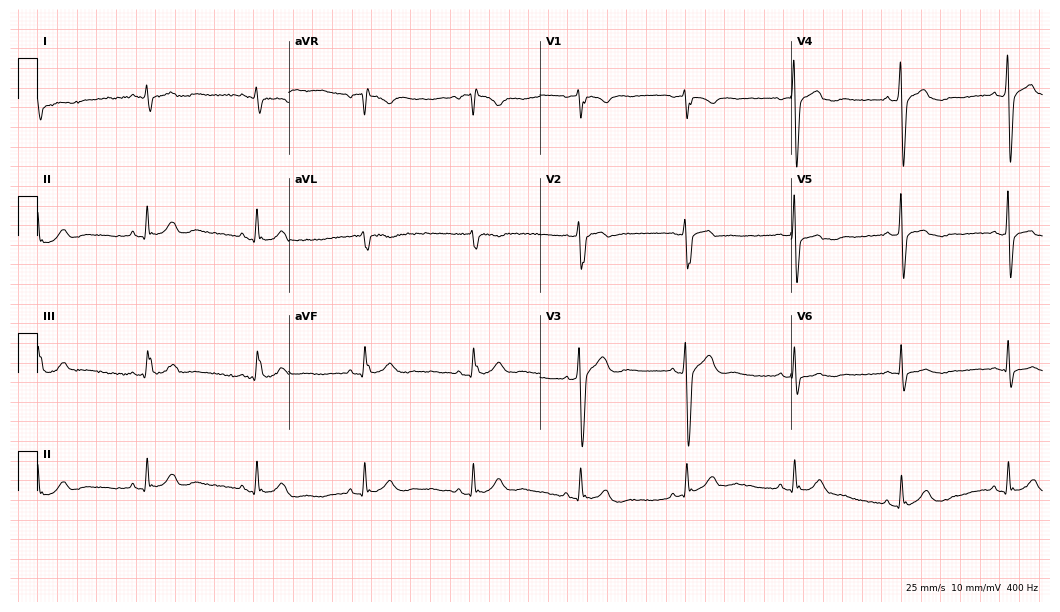
ECG — a male, 53 years old. Screened for six findings — first-degree AV block, right bundle branch block, left bundle branch block, sinus bradycardia, atrial fibrillation, sinus tachycardia — none is recorded.